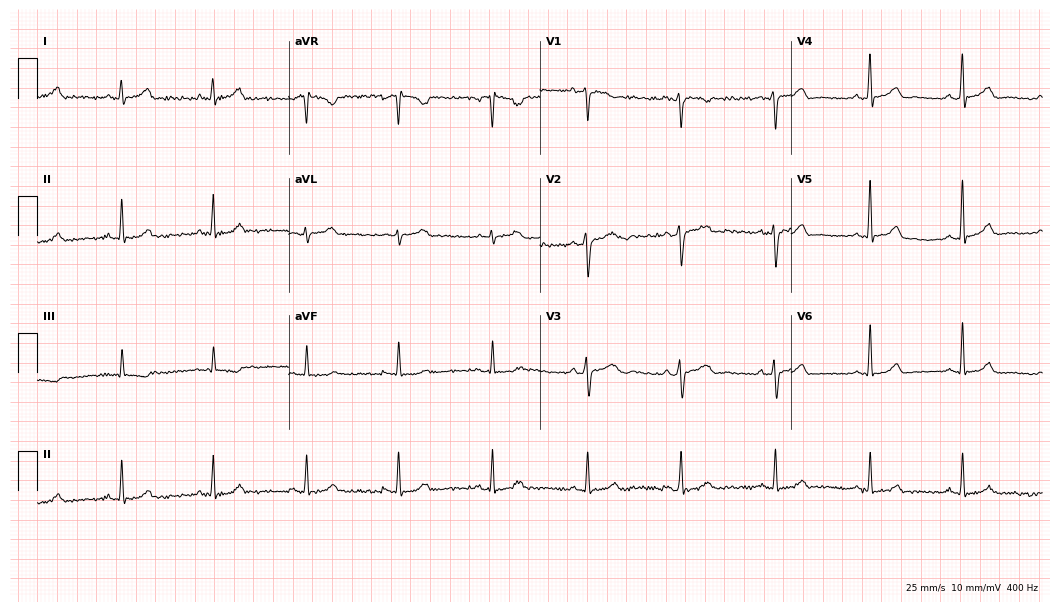
Standard 12-lead ECG recorded from a female, 41 years old (10.2-second recording at 400 Hz). Read as a normal ECG.